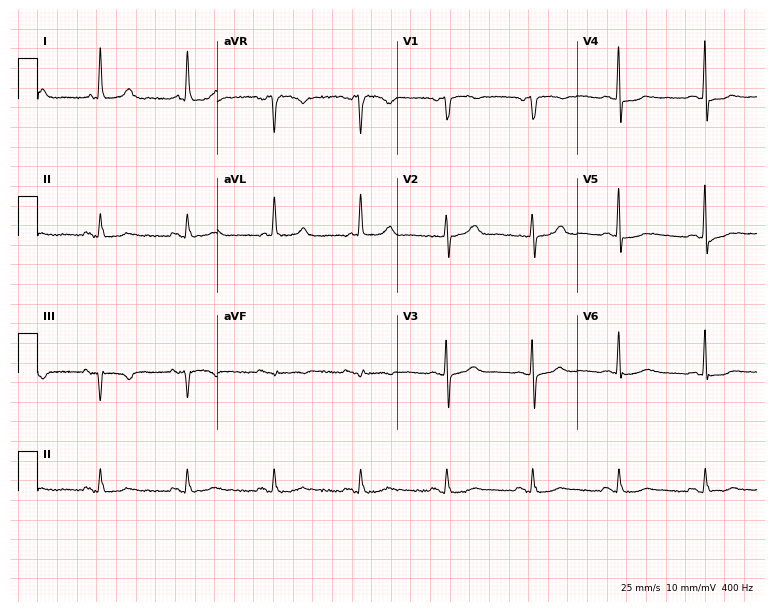
12-lead ECG from a female patient, 84 years old (7.3-second recording at 400 Hz). No first-degree AV block, right bundle branch block, left bundle branch block, sinus bradycardia, atrial fibrillation or sinus tachycardia recorded for this tracing. Other findings, if any, are not listed.